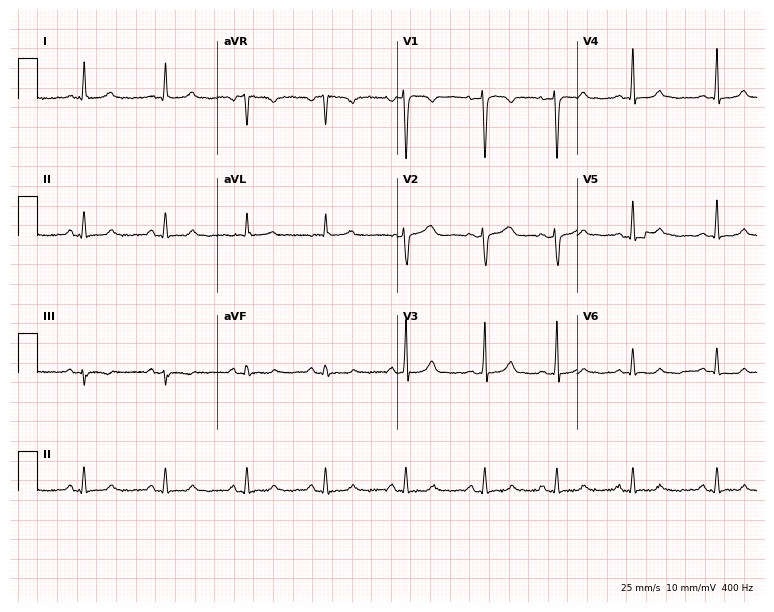
Resting 12-lead electrocardiogram (7.3-second recording at 400 Hz). Patient: a 51-year-old female. None of these six findings is recorded: first-degree AV block, right bundle branch block, left bundle branch block, sinus bradycardia, atrial fibrillation, sinus tachycardia. Findings outside these six are not listed.